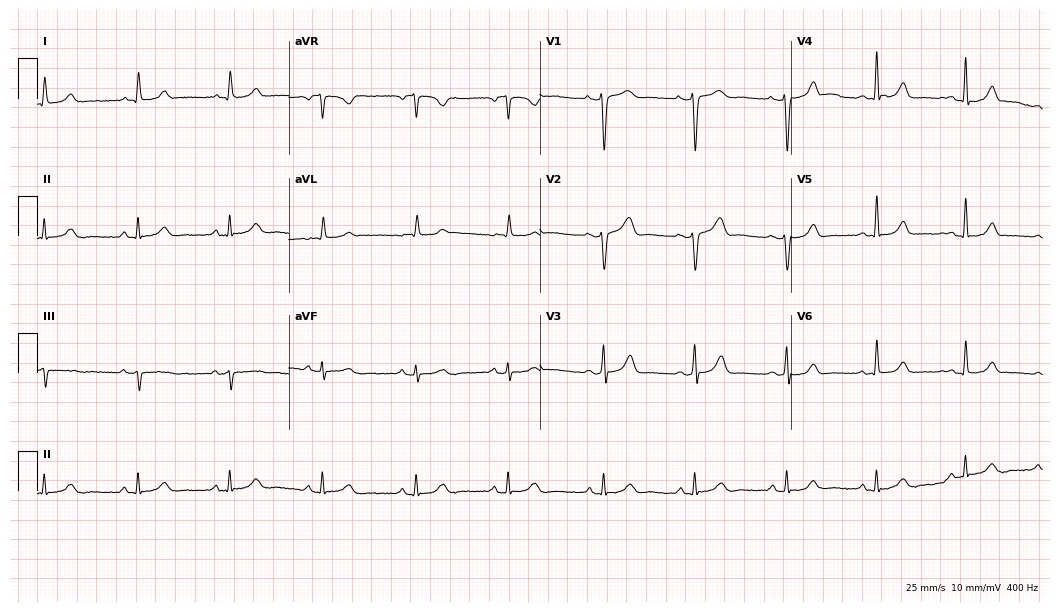
Resting 12-lead electrocardiogram (10.2-second recording at 400 Hz). Patient: a 46-year-old woman. Read as a normal ECG.